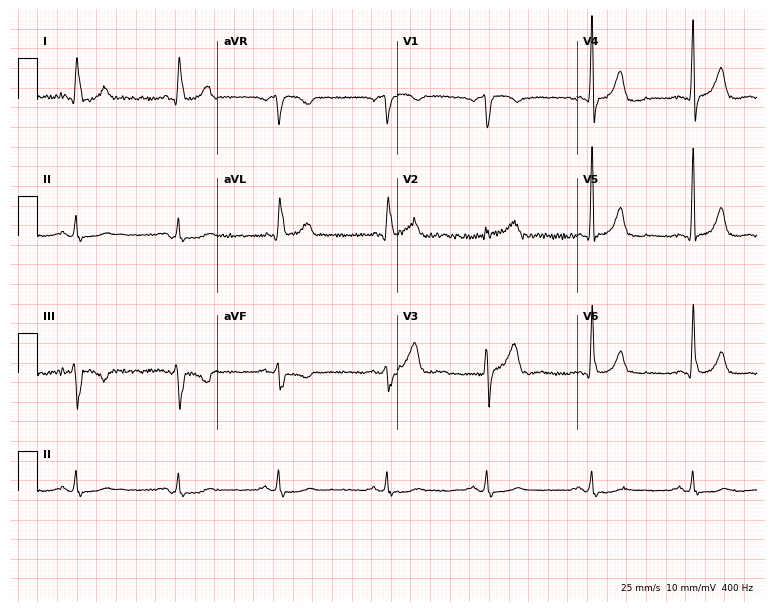
Electrocardiogram (7.3-second recording at 400 Hz), a man, 78 years old. Of the six screened findings (first-degree AV block, right bundle branch block, left bundle branch block, sinus bradycardia, atrial fibrillation, sinus tachycardia), none is recorded. Other findings, if any, are not listed.